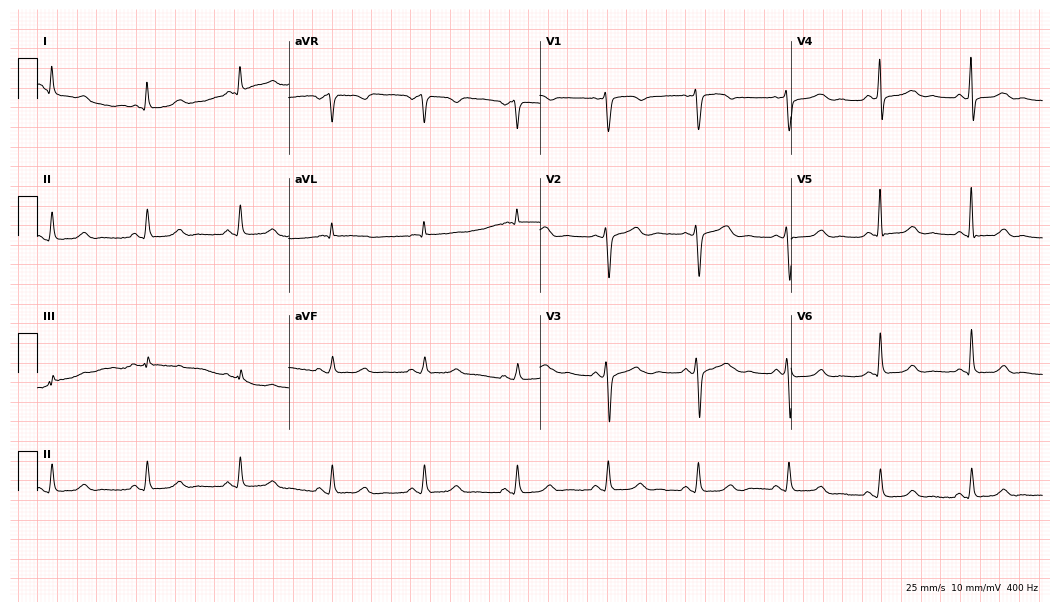
12-lead ECG (10.2-second recording at 400 Hz) from a female patient, 60 years old. Screened for six findings — first-degree AV block, right bundle branch block, left bundle branch block, sinus bradycardia, atrial fibrillation, sinus tachycardia — none is recorded.